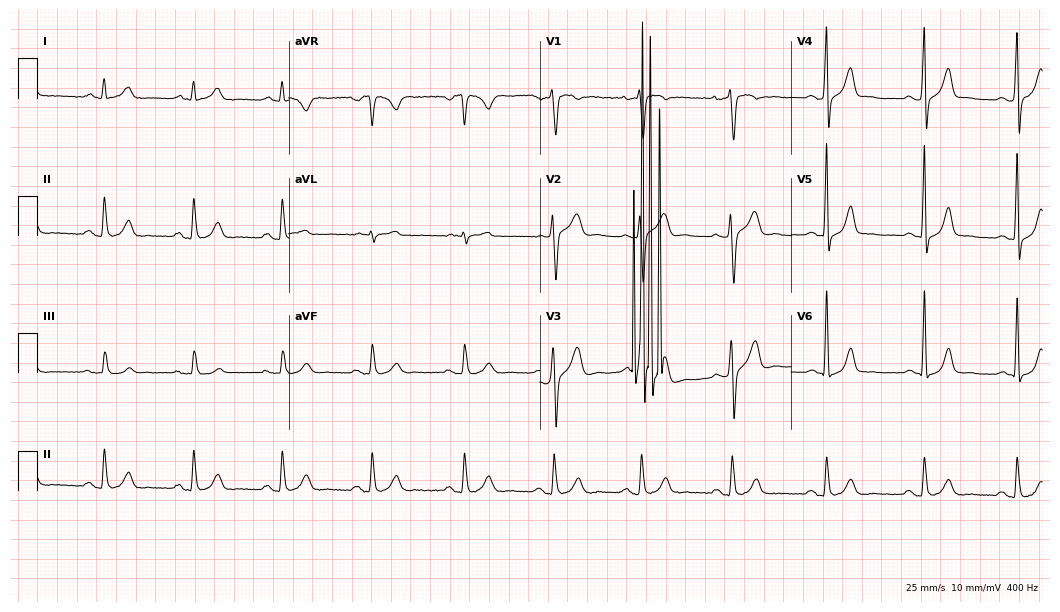
Electrocardiogram (10.2-second recording at 400 Hz), a 31-year-old man. Overall reading on record: normal ECG.